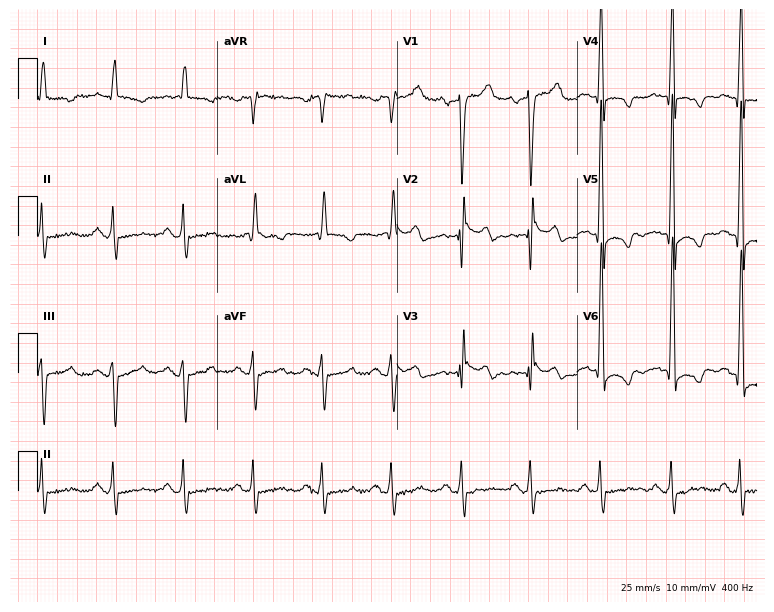
ECG — a 63-year-old man. Findings include right bundle branch block.